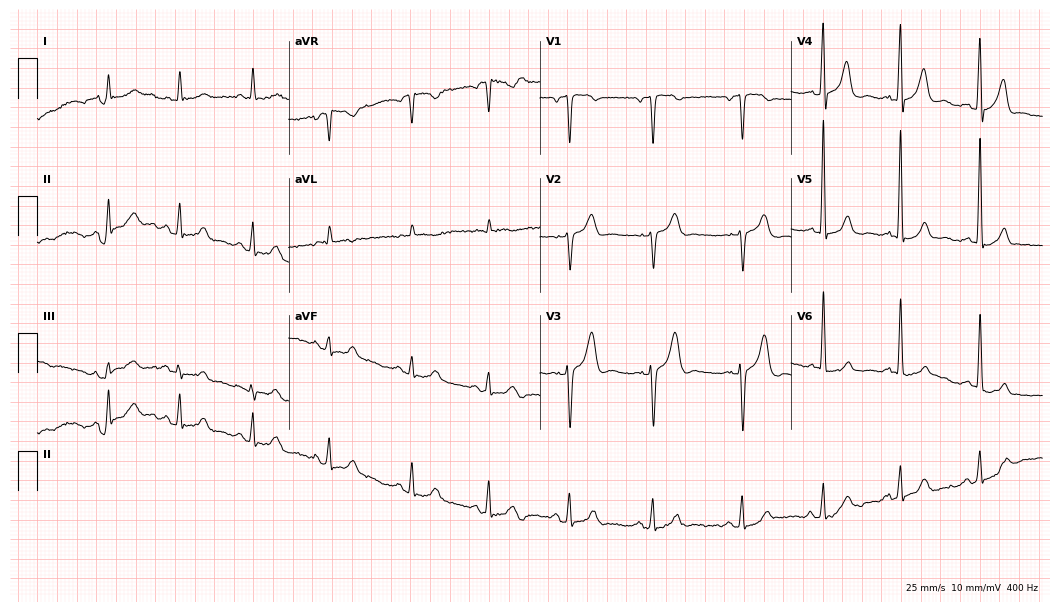
Resting 12-lead electrocardiogram (10.2-second recording at 400 Hz). Patient: a male, 81 years old. None of these six findings is recorded: first-degree AV block, right bundle branch block (RBBB), left bundle branch block (LBBB), sinus bradycardia, atrial fibrillation (AF), sinus tachycardia. Only these six findings were labelled.